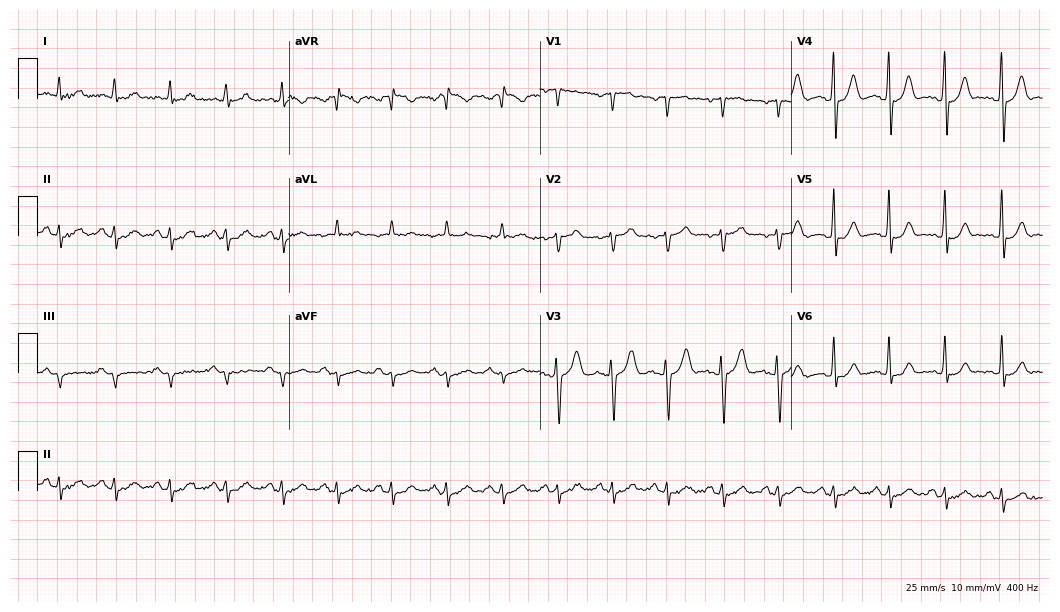
12-lead ECG from a man, 64 years old. Findings include sinus tachycardia (a sinus rate of 100 beats per minute or more).